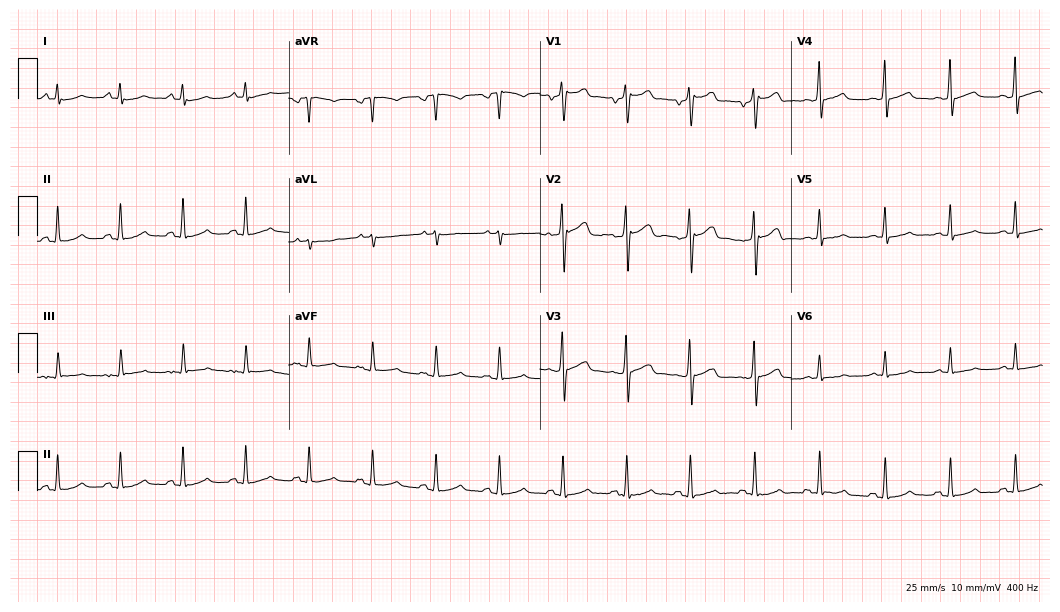
Electrocardiogram, a male patient, 63 years old. Of the six screened findings (first-degree AV block, right bundle branch block, left bundle branch block, sinus bradycardia, atrial fibrillation, sinus tachycardia), none is recorded. Only these six findings were labelled.